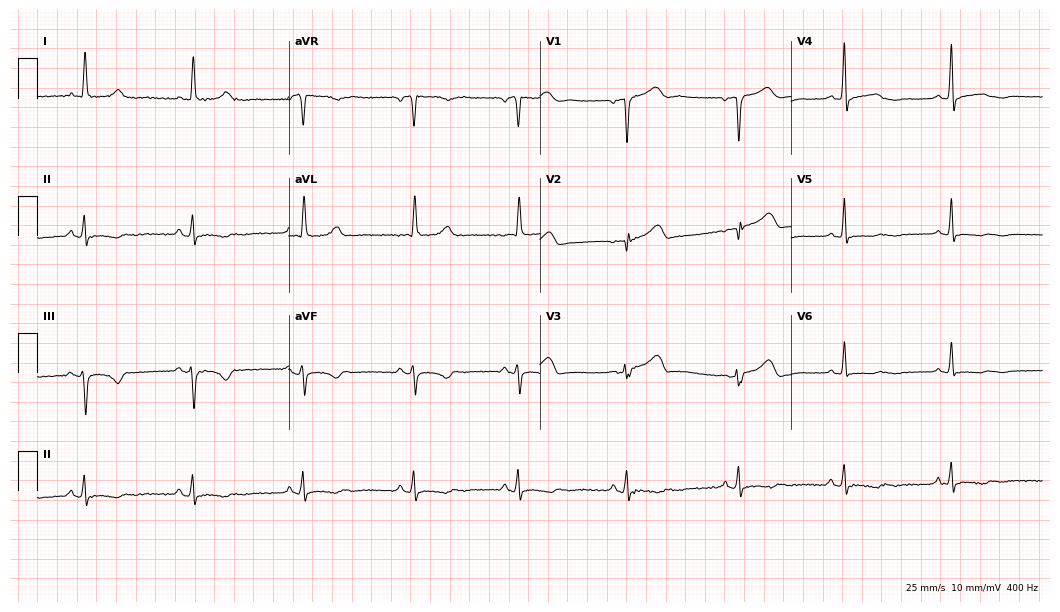
Resting 12-lead electrocardiogram (10.2-second recording at 400 Hz). Patient: a female, 77 years old. None of these six findings is recorded: first-degree AV block, right bundle branch block (RBBB), left bundle branch block (LBBB), sinus bradycardia, atrial fibrillation (AF), sinus tachycardia. Other findings, if any, are not listed.